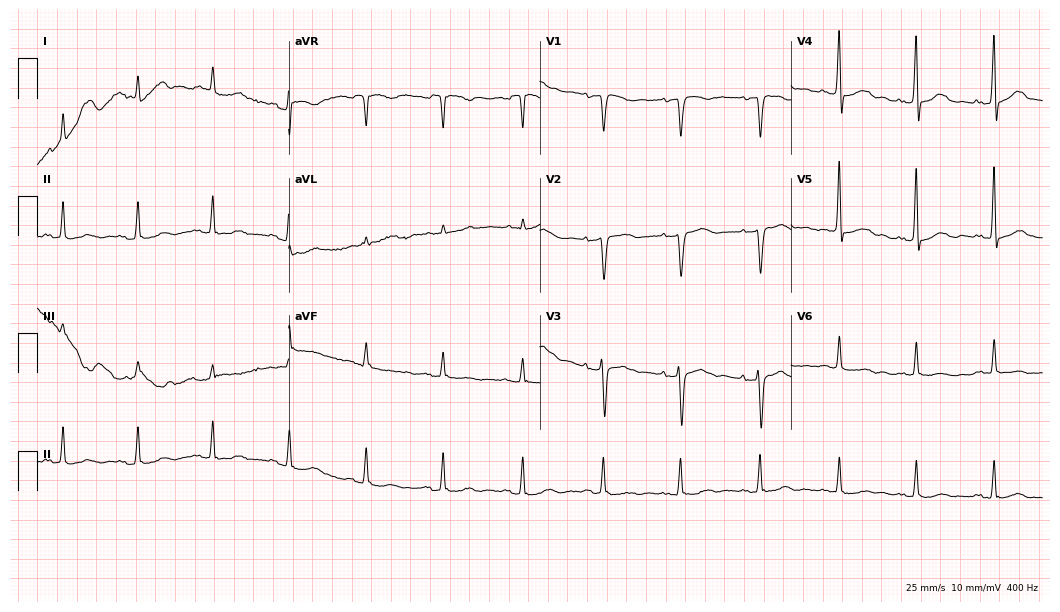
Standard 12-lead ECG recorded from a woman, 75 years old. None of these six findings is recorded: first-degree AV block, right bundle branch block (RBBB), left bundle branch block (LBBB), sinus bradycardia, atrial fibrillation (AF), sinus tachycardia.